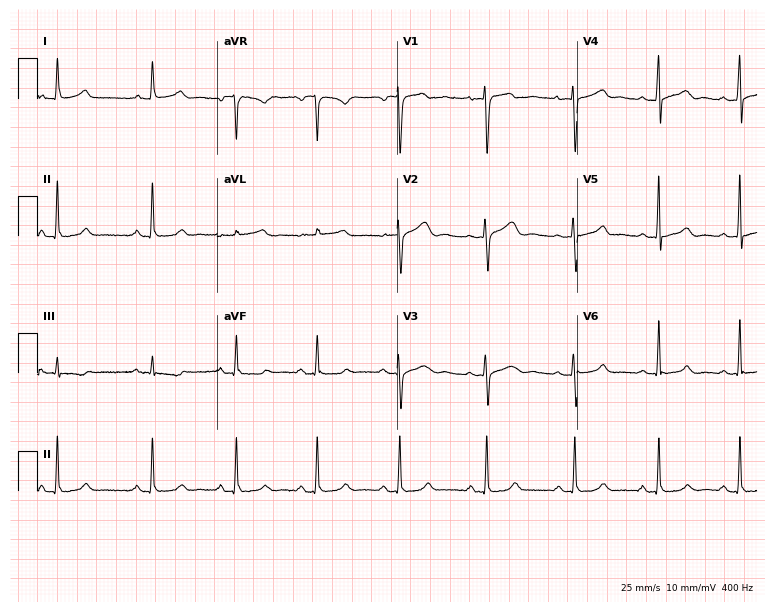
12-lead ECG from a female, 37 years old. Labelled as a normal ECG.